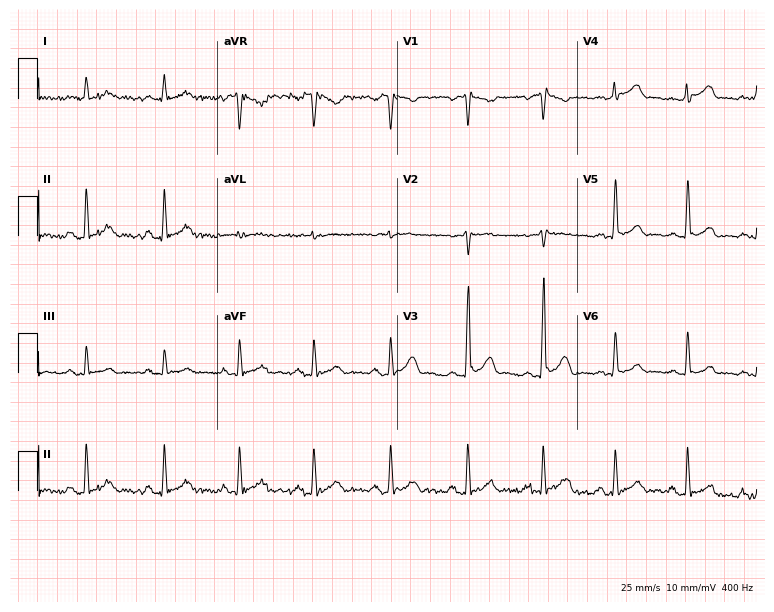
12-lead ECG from a man, 47 years old. No first-degree AV block, right bundle branch block, left bundle branch block, sinus bradycardia, atrial fibrillation or sinus tachycardia recorded for this tracing.